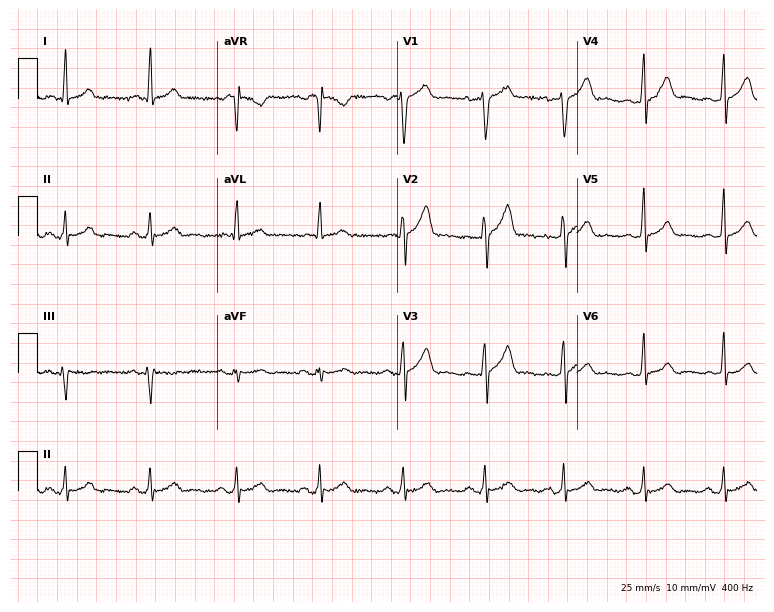
ECG (7.3-second recording at 400 Hz) — a male patient, 35 years old. Labelled as a normal ECG.